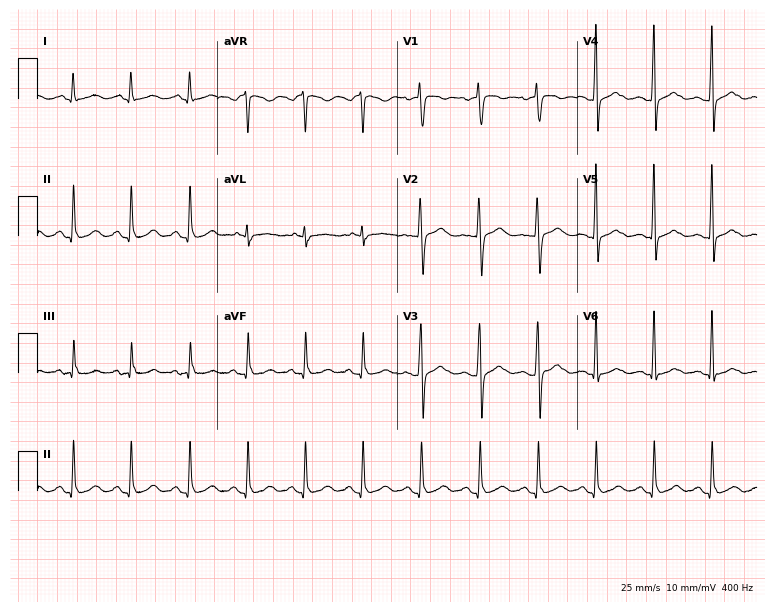
Electrocardiogram (7.3-second recording at 400 Hz), a 22-year-old female patient. Interpretation includes sinus tachycardia (a sinus rate of 100 beats per minute or more).